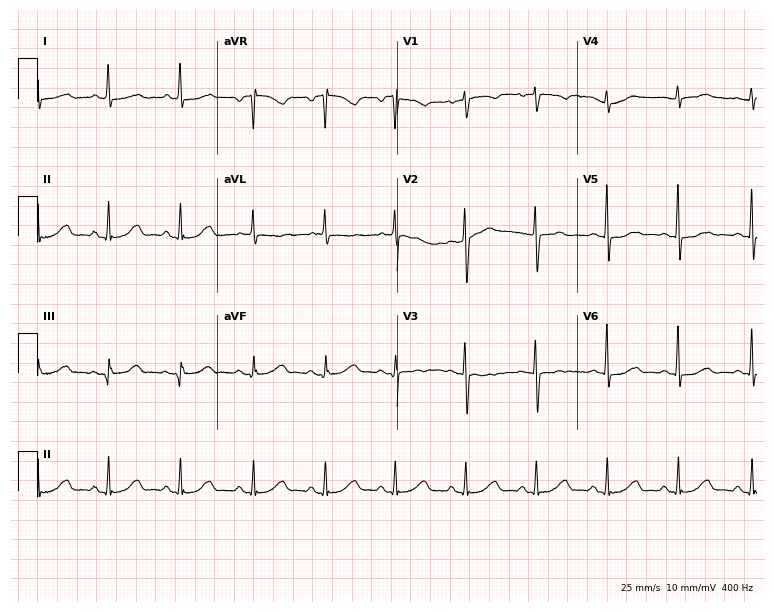
Electrocardiogram (7.3-second recording at 400 Hz), a female patient, 67 years old. Of the six screened findings (first-degree AV block, right bundle branch block (RBBB), left bundle branch block (LBBB), sinus bradycardia, atrial fibrillation (AF), sinus tachycardia), none is recorded. Only these six findings were labelled.